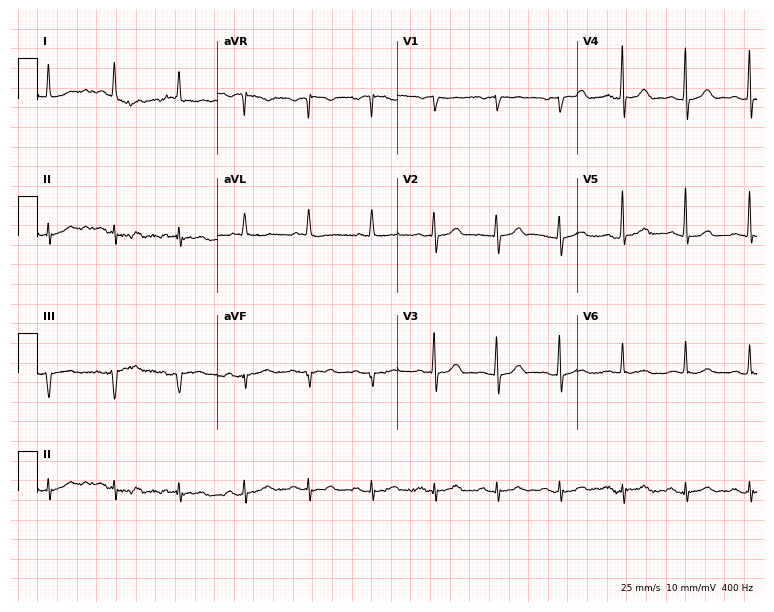
12-lead ECG from a 68-year-old male. No first-degree AV block, right bundle branch block (RBBB), left bundle branch block (LBBB), sinus bradycardia, atrial fibrillation (AF) or sinus tachycardia recorded for this tracing. Only these six findings were labelled.